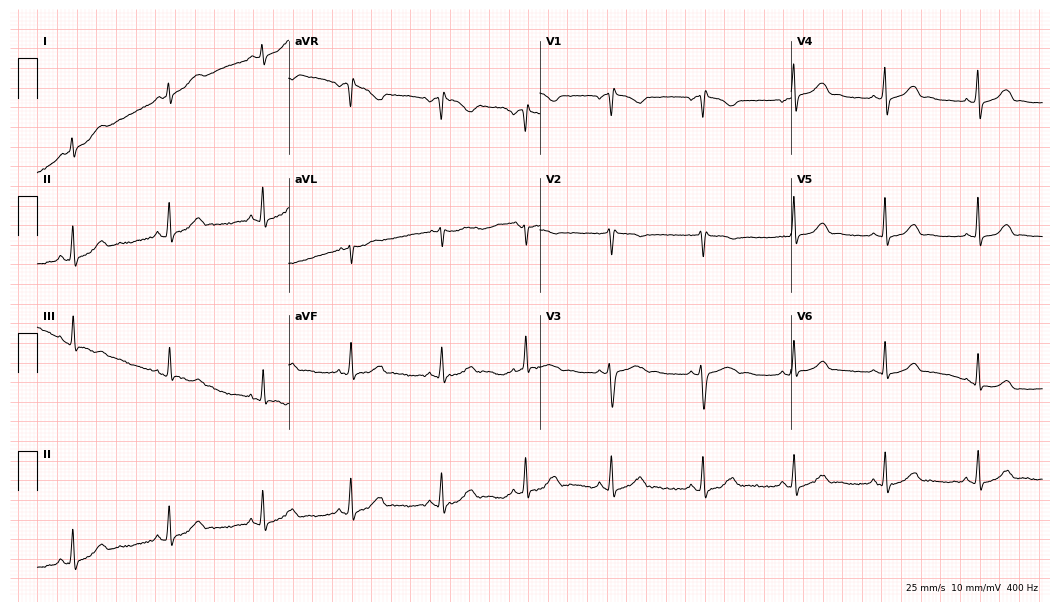
ECG — a female patient, 21 years old. Labelled as a normal ECG.